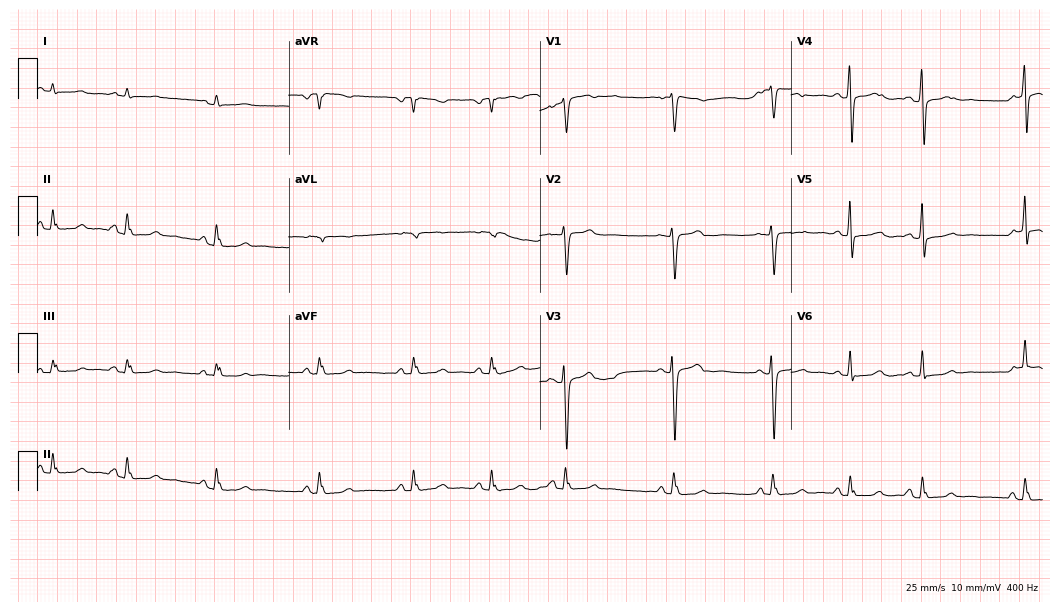
Resting 12-lead electrocardiogram (10.2-second recording at 400 Hz). Patient: a female, 23 years old. None of these six findings is recorded: first-degree AV block, right bundle branch block (RBBB), left bundle branch block (LBBB), sinus bradycardia, atrial fibrillation (AF), sinus tachycardia.